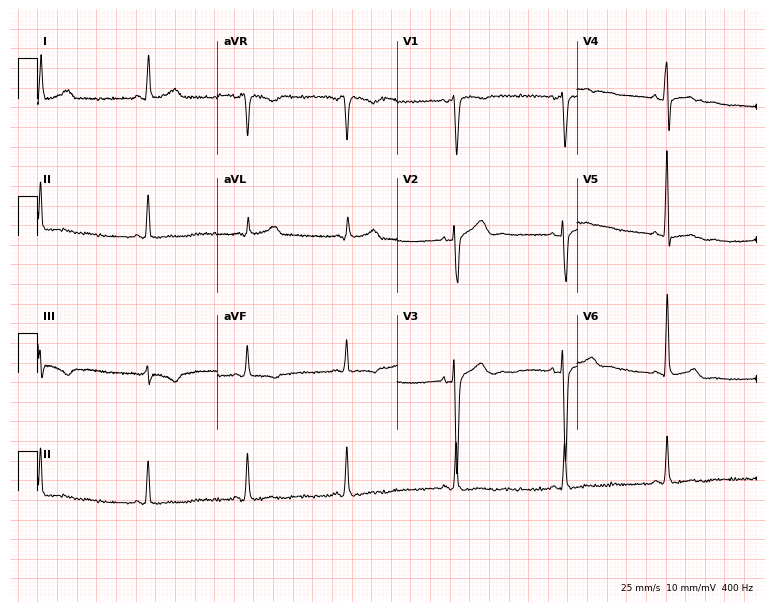
Standard 12-lead ECG recorded from a 42-year-old male (7.3-second recording at 400 Hz). None of these six findings is recorded: first-degree AV block, right bundle branch block, left bundle branch block, sinus bradycardia, atrial fibrillation, sinus tachycardia. Other findings, if any, are not listed.